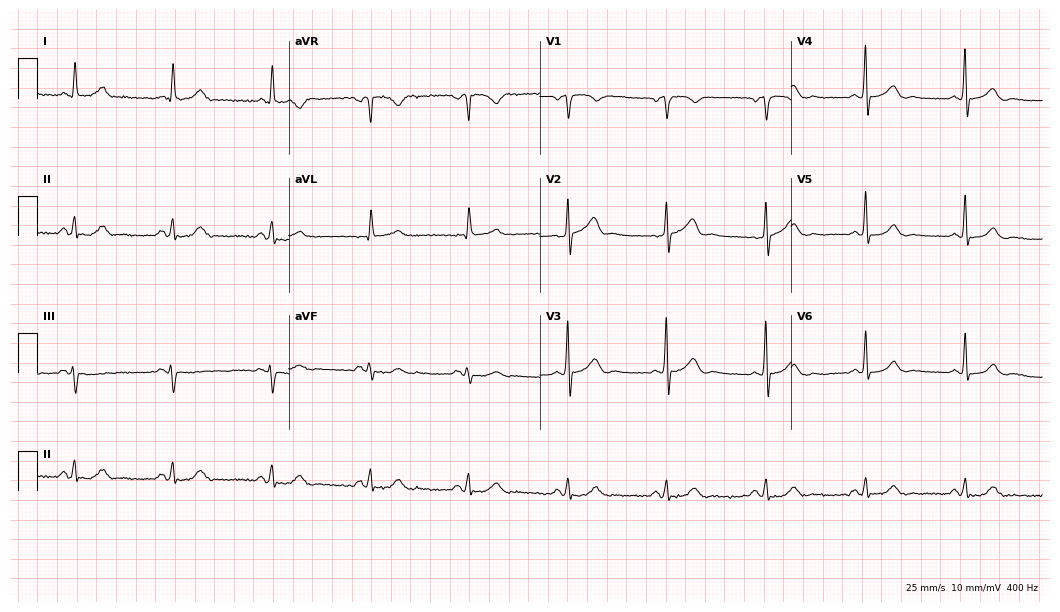
ECG (10.2-second recording at 400 Hz) — a man, 66 years old. Screened for six findings — first-degree AV block, right bundle branch block, left bundle branch block, sinus bradycardia, atrial fibrillation, sinus tachycardia — none is recorded.